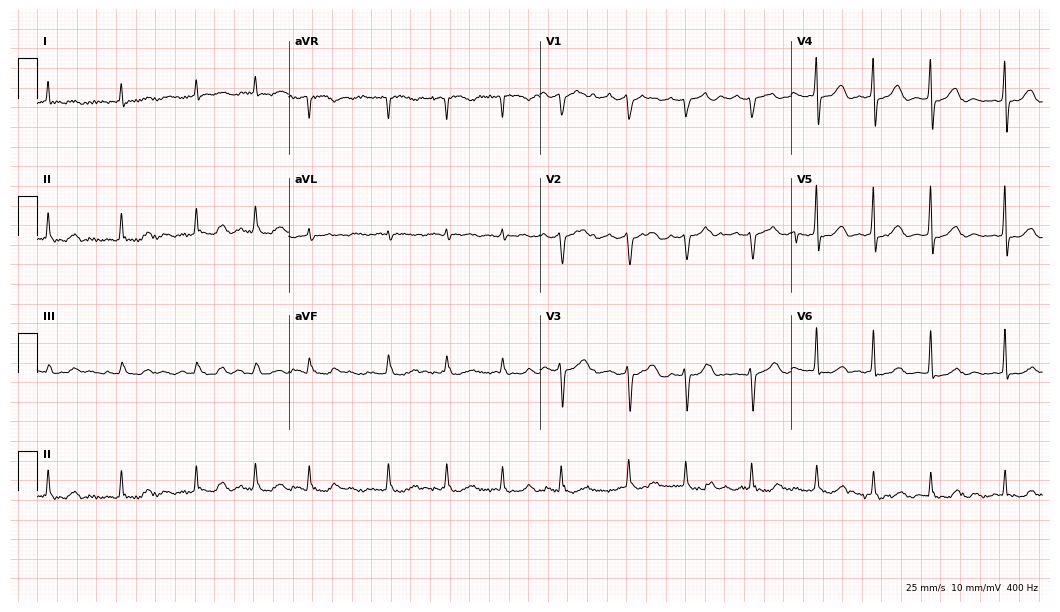
Resting 12-lead electrocardiogram (10.2-second recording at 400 Hz). Patient: a female, 67 years old. The tracing shows atrial fibrillation (AF).